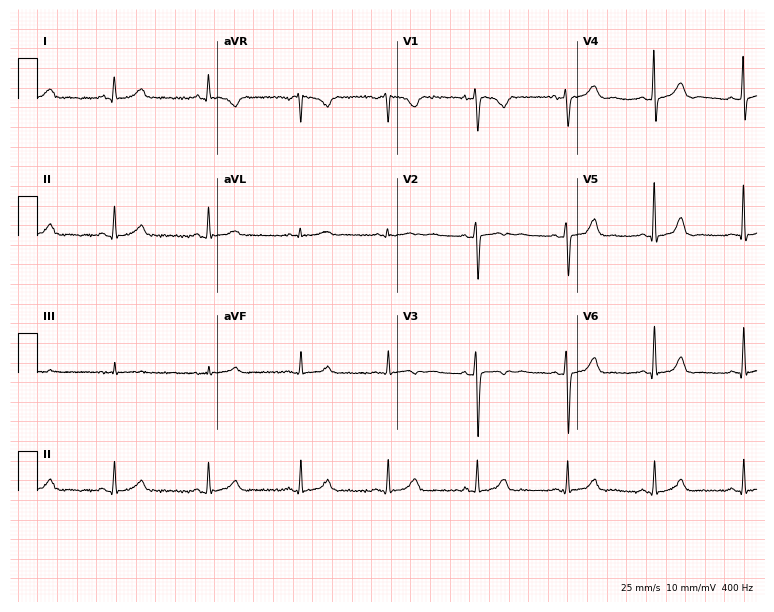
12-lead ECG (7.3-second recording at 400 Hz) from a 39-year-old woman. Labelled as a normal ECG.